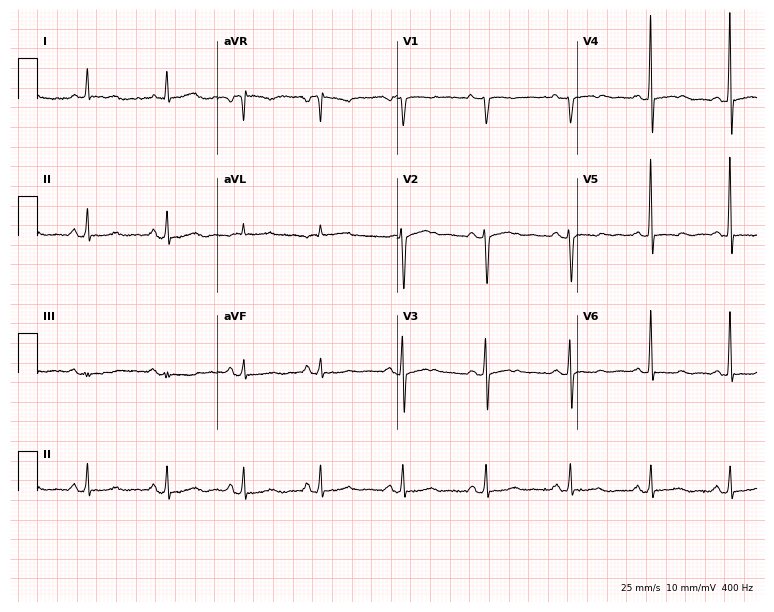
Electrocardiogram (7.3-second recording at 400 Hz), a woman, 57 years old. Of the six screened findings (first-degree AV block, right bundle branch block, left bundle branch block, sinus bradycardia, atrial fibrillation, sinus tachycardia), none is recorded.